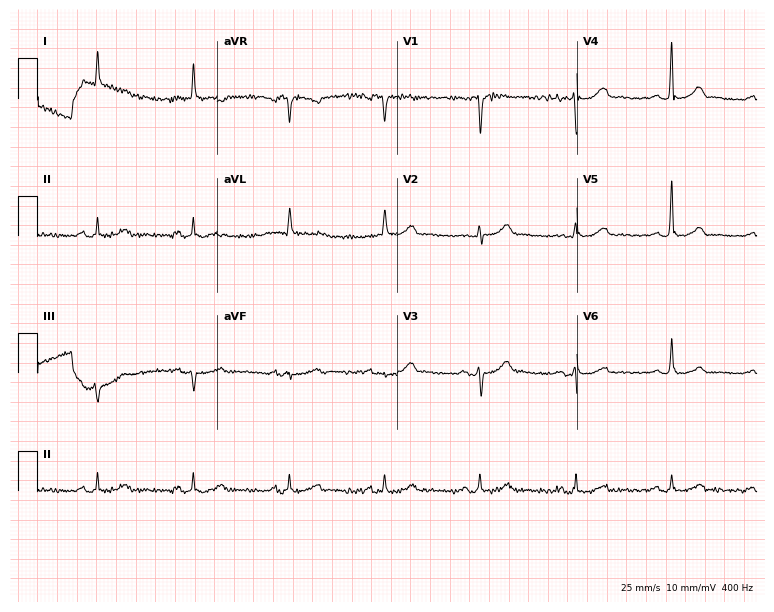
Resting 12-lead electrocardiogram. Patient: an 85-year-old male. None of these six findings is recorded: first-degree AV block, right bundle branch block, left bundle branch block, sinus bradycardia, atrial fibrillation, sinus tachycardia.